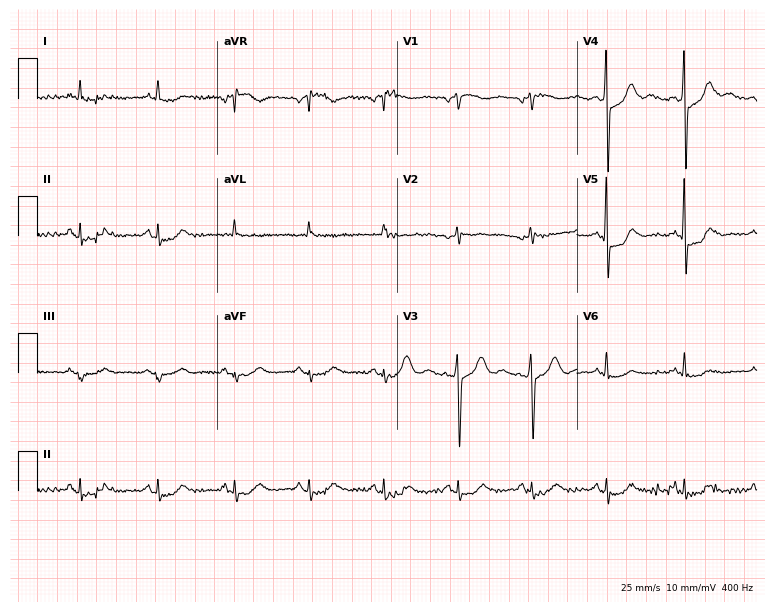
12-lead ECG from a 65-year-old male (7.3-second recording at 400 Hz). No first-degree AV block, right bundle branch block, left bundle branch block, sinus bradycardia, atrial fibrillation or sinus tachycardia recorded for this tracing. Findings outside these six are not listed.